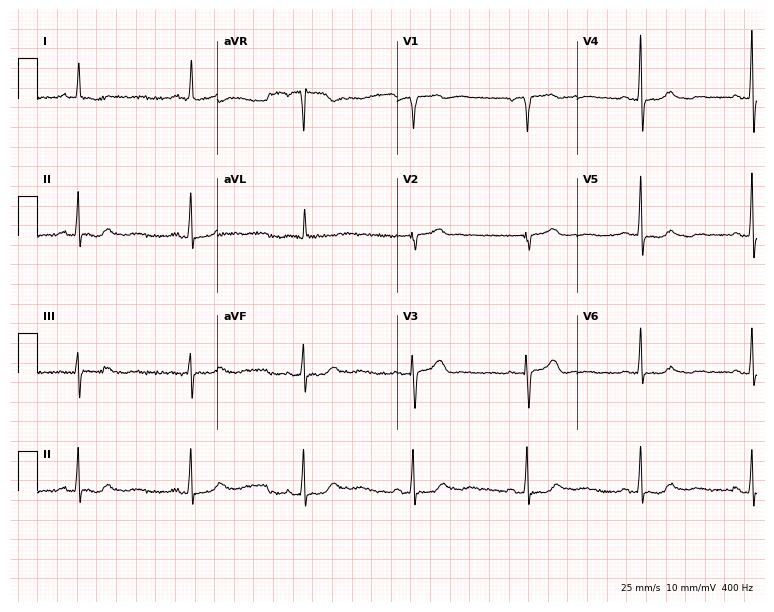
12-lead ECG (7.3-second recording at 400 Hz) from a female, 66 years old. Labelled as a normal ECG.